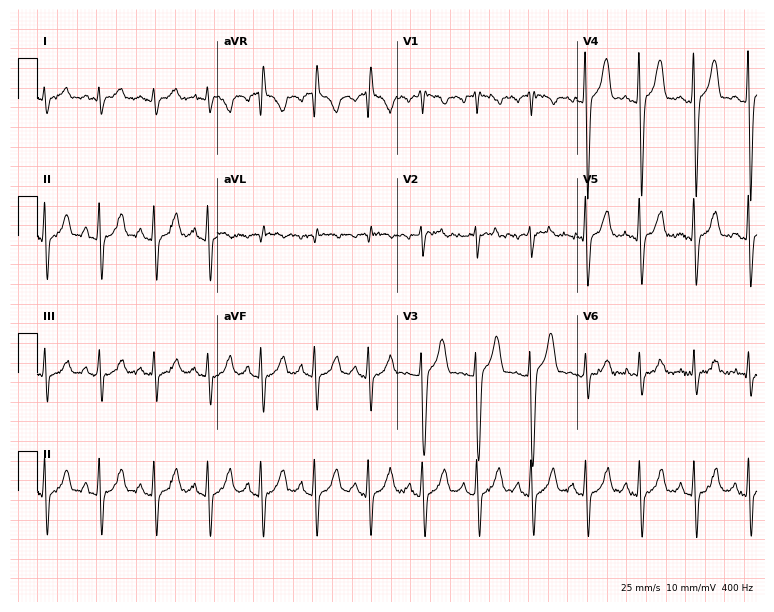
Resting 12-lead electrocardiogram (7.3-second recording at 400 Hz). Patient: a 24-year-old male. The tracing shows sinus tachycardia (a sinus rate of 100 beats per minute or more).